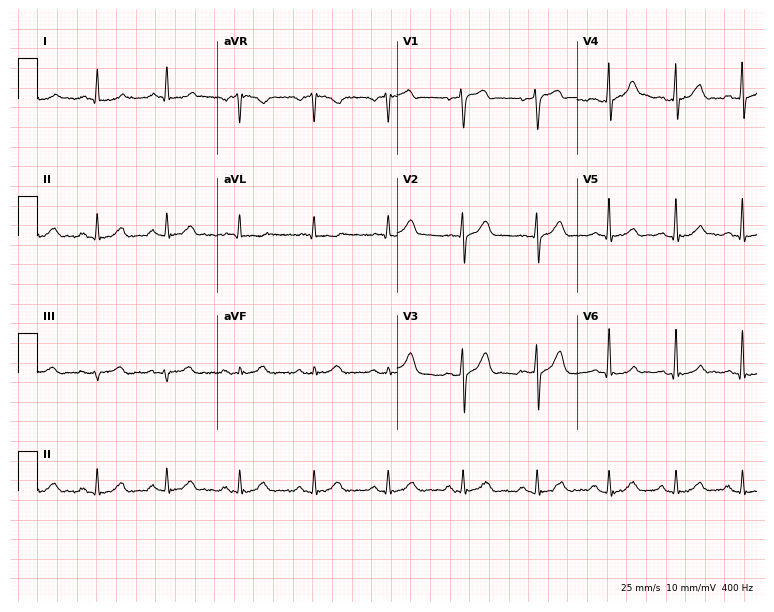
Electrocardiogram (7.3-second recording at 400 Hz), a man, 56 years old. Of the six screened findings (first-degree AV block, right bundle branch block (RBBB), left bundle branch block (LBBB), sinus bradycardia, atrial fibrillation (AF), sinus tachycardia), none is recorded. Only these six findings were labelled.